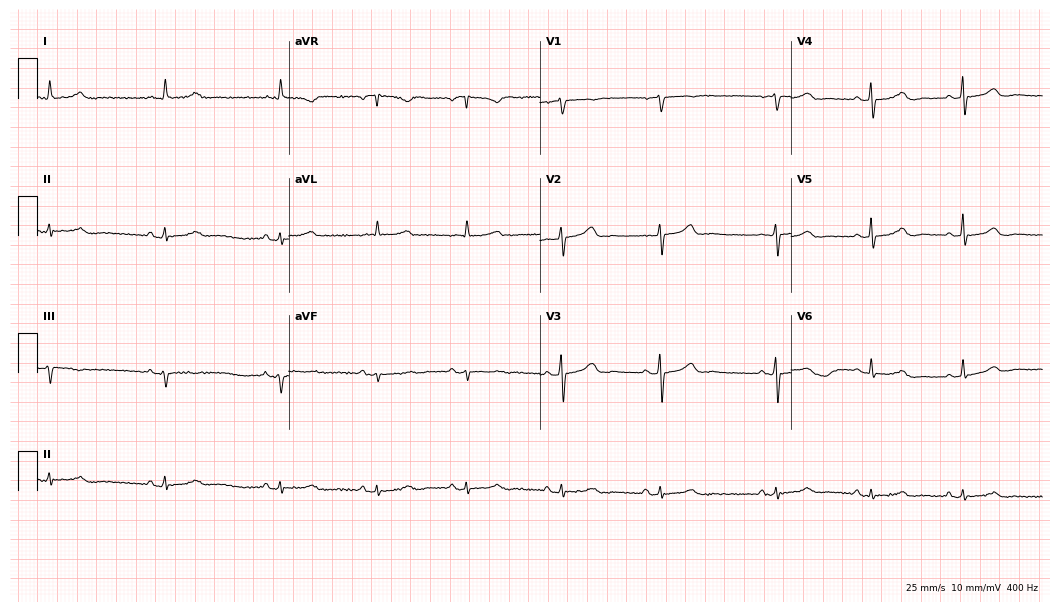
Resting 12-lead electrocardiogram (10.2-second recording at 400 Hz). Patient: a female, 62 years old. None of these six findings is recorded: first-degree AV block, right bundle branch block, left bundle branch block, sinus bradycardia, atrial fibrillation, sinus tachycardia. Other findings, if any, are not listed.